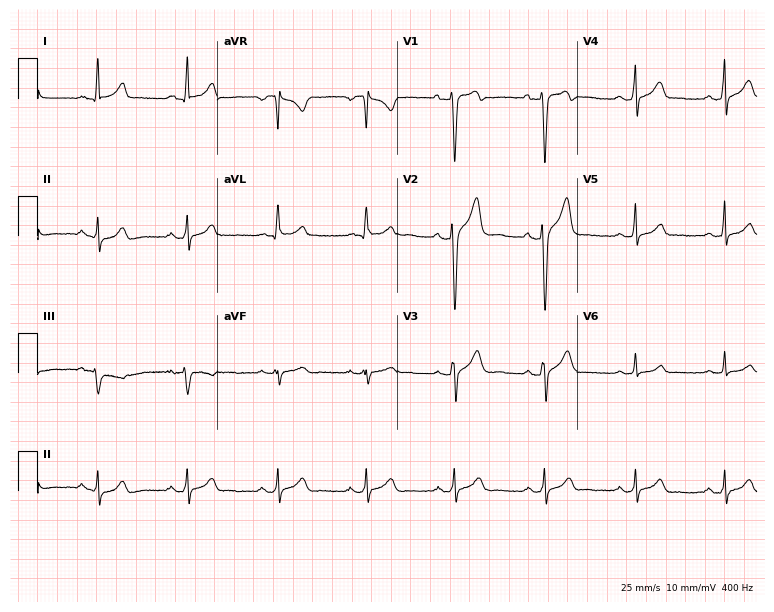
ECG — a male patient, 41 years old. Labelled as a normal ECG.